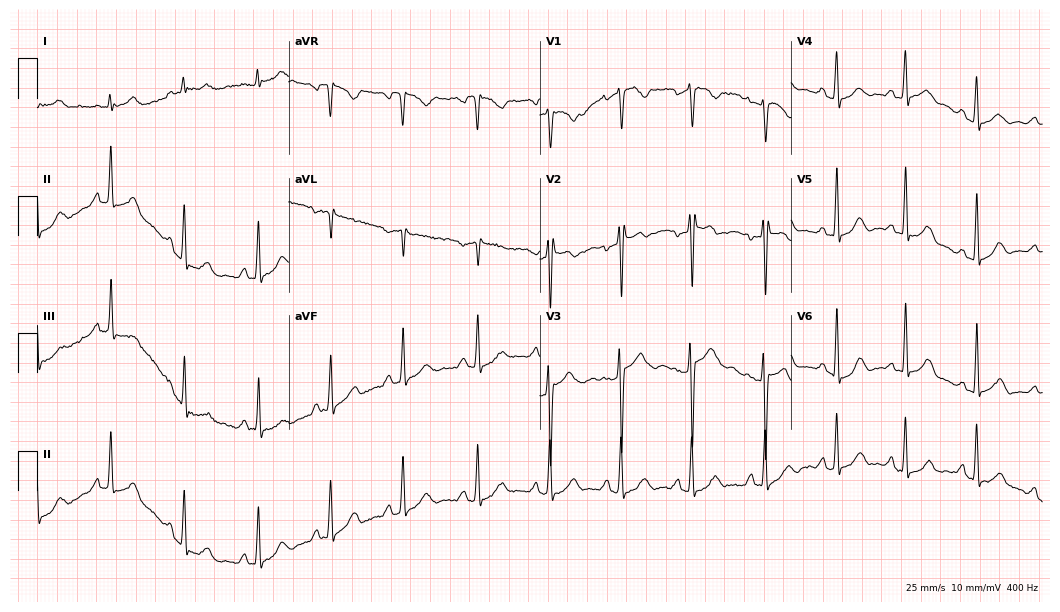
12-lead ECG from a 30-year-old female patient. Labelled as a normal ECG.